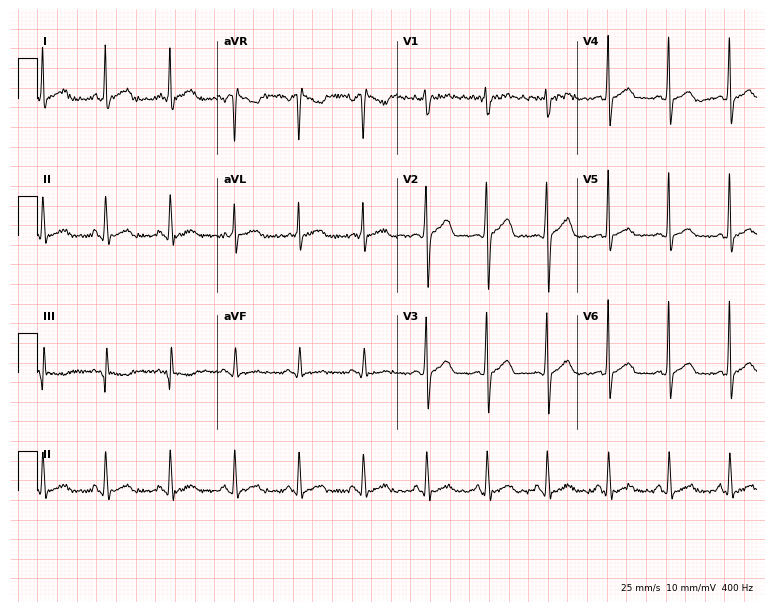
Electrocardiogram (7.3-second recording at 400 Hz), a 37-year-old male. Overall reading on record: normal ECG.